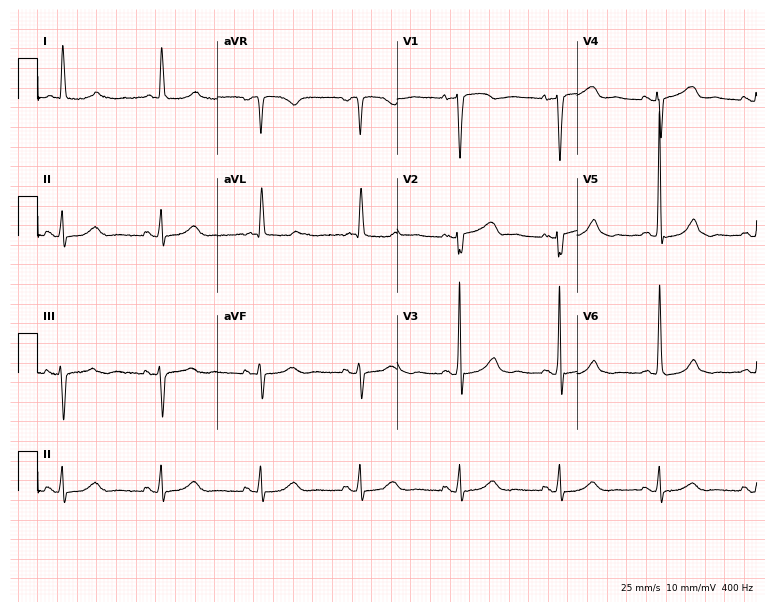
Standard 12-lead ECG recorded from a female patient, 84 years old. Read as a normal ECG.